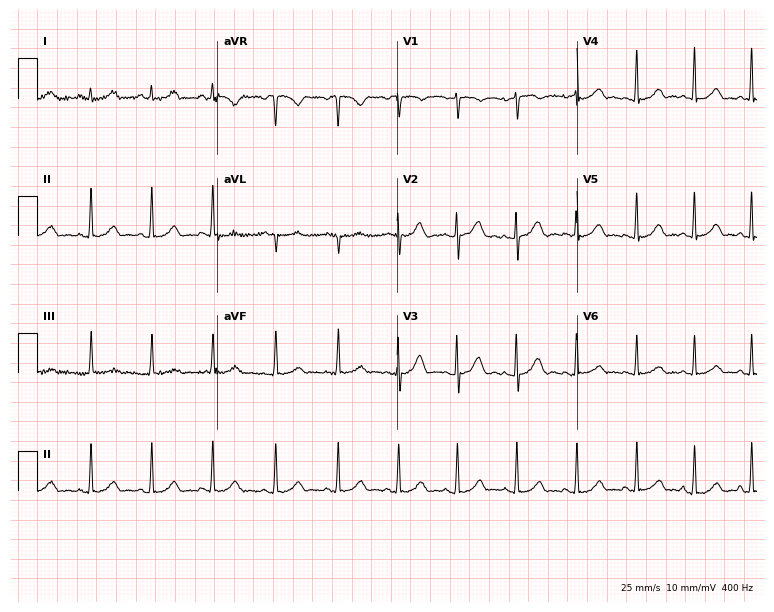
Electrocardiogram (7.3-second recording at 400 Hz), a 21-year-old female patient. Overall reading on record: normal ECG.